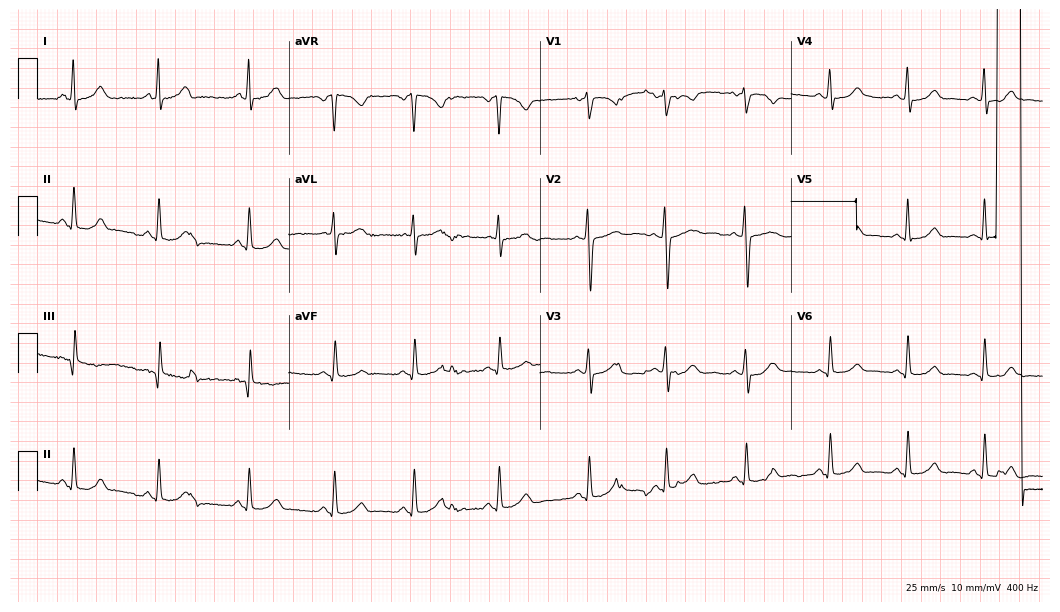
Standard 12-lead ECG recorded from a 40-year-old female patient. None of these six findings is recorded: first-degree AV block, right bundle branch block, left bundle branch block, sinus bradycardia, atrial fibrillation, sinus tachycardia.